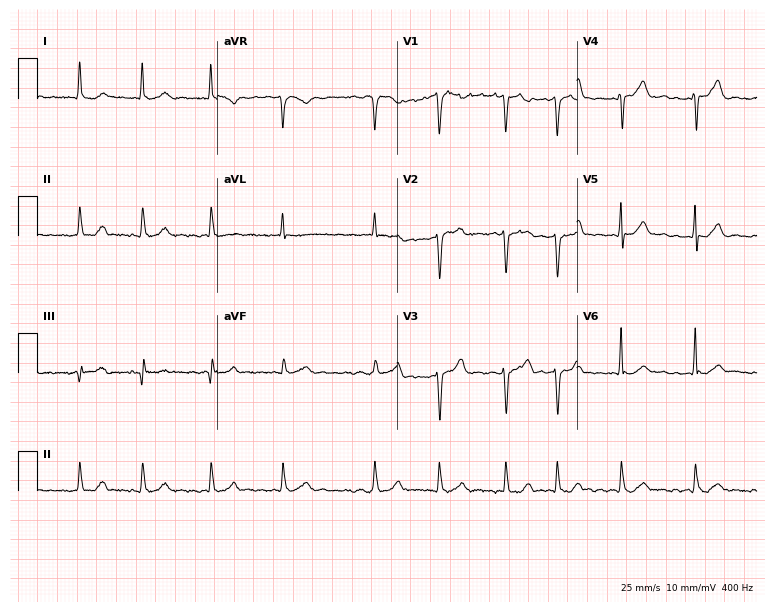
Electrocardiogram (7.3-second recording at 400 Hz), a male, 69 years old. Interpretation includes atrial fibrillation.